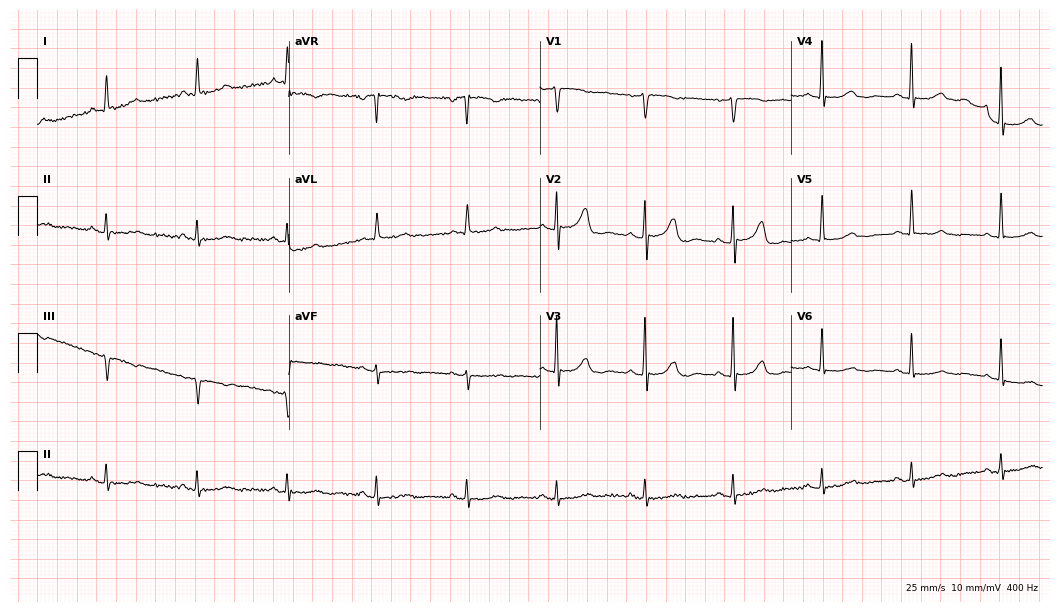
Standard 12-lead ECG recorded from a male, 77 years old. Read as a normal ECG.